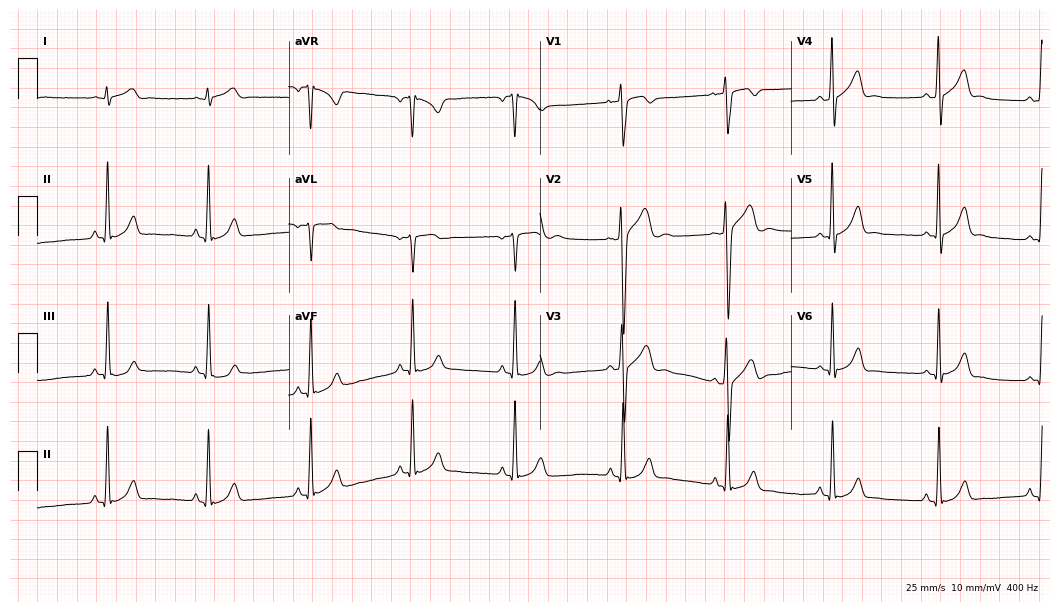
12-lead ECG from a 22-year-old male patient. Screened for six findings — first-degree AV block, right bundle branch block, left bundle branch block, sinus bradycardia, atrial fibrillation, sinus tachycardia — none is recorded.